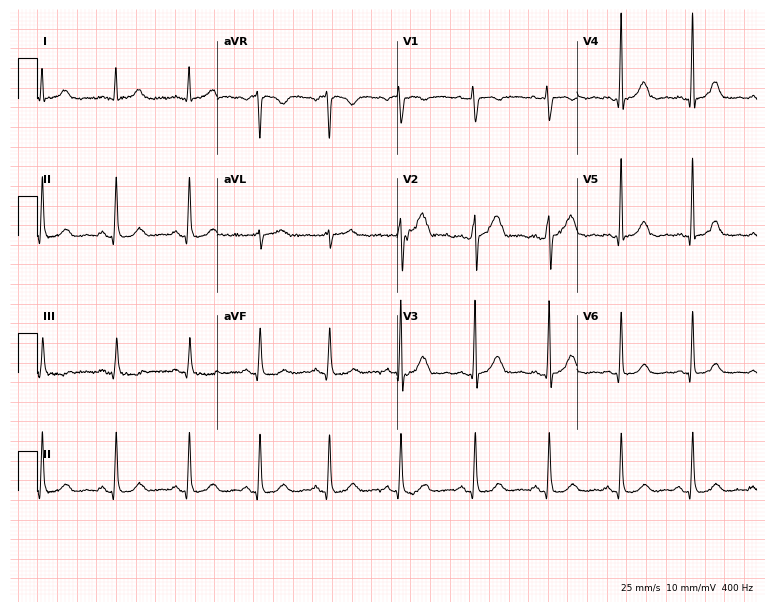
12-lead ECG from a female, 26 years old (7.3-second recording at 400 Hz). Recorded interpretation: within normal limits.